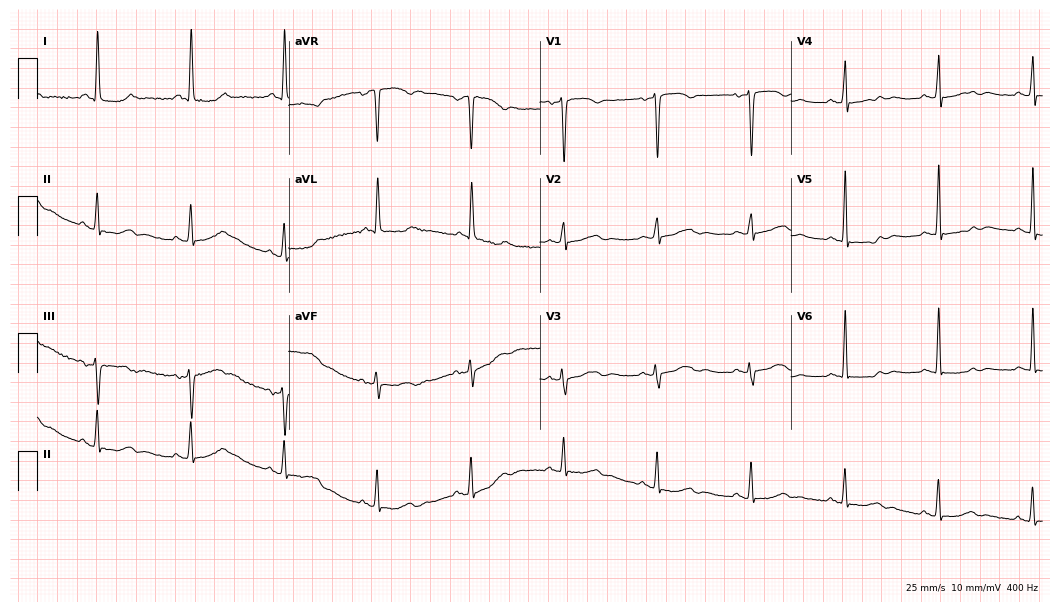
12-lead ECG (10.2-second recording at 400 Hz) from a female patient, 79 years old. Screened for six findings — first-degree AV block, right bundle branch block, left bundle branch block, sinus bradycardia, atrial fibrillation, sinus tachycardia — none is recorded. Findings outside these six are not listed.